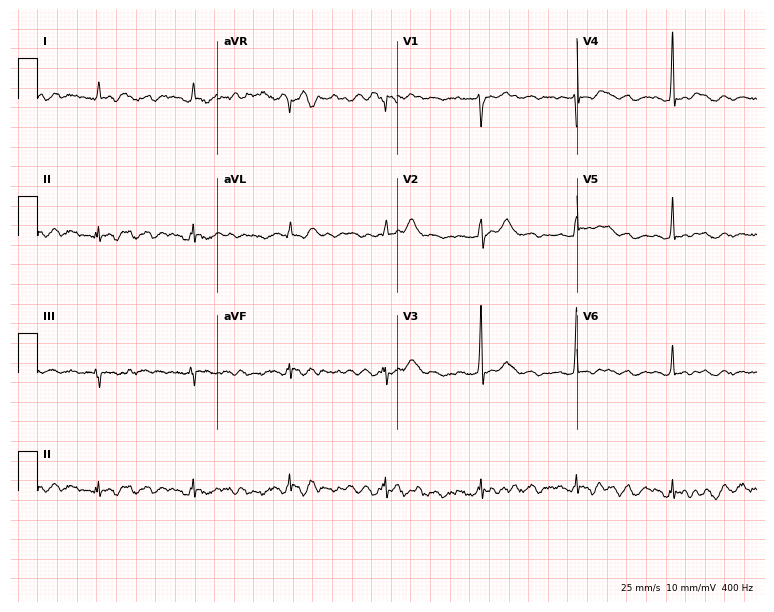
Resting 12-lead electrocardiogram (7.3-second recording at 400 Hz). Patient: a male, 84 years old. None of these six findings is recorded: first-degree AV block, right bundle branch block, left bundle branch block, sinus bradycardia, atrial fibrillation, sinus tachycardia. Findings outside these six are not listed.